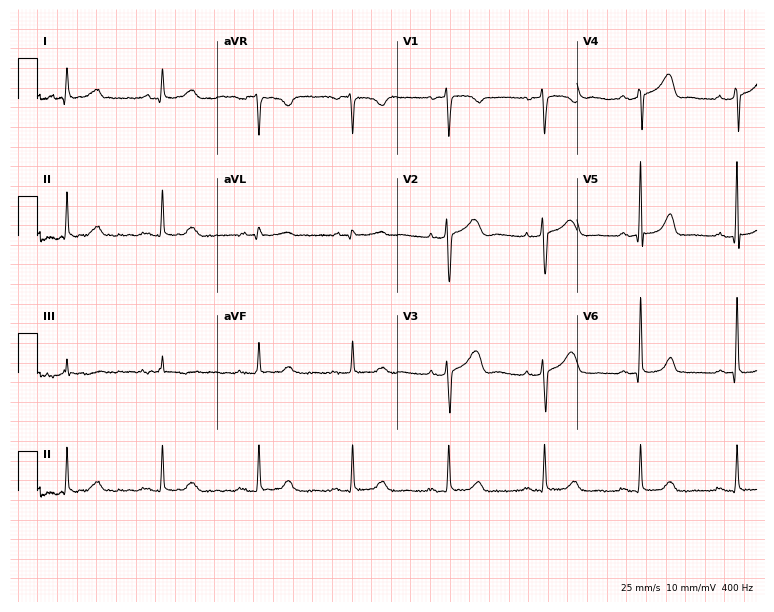
12-lead ECG from a female patient, 50 years old. No first-degree AV block, right bundle branch block (RBBB), left bundle branch block (LBBB), sinus bradycardia, atrial fibrillation (AF) or sinus tachycardia recorded for this tracing.